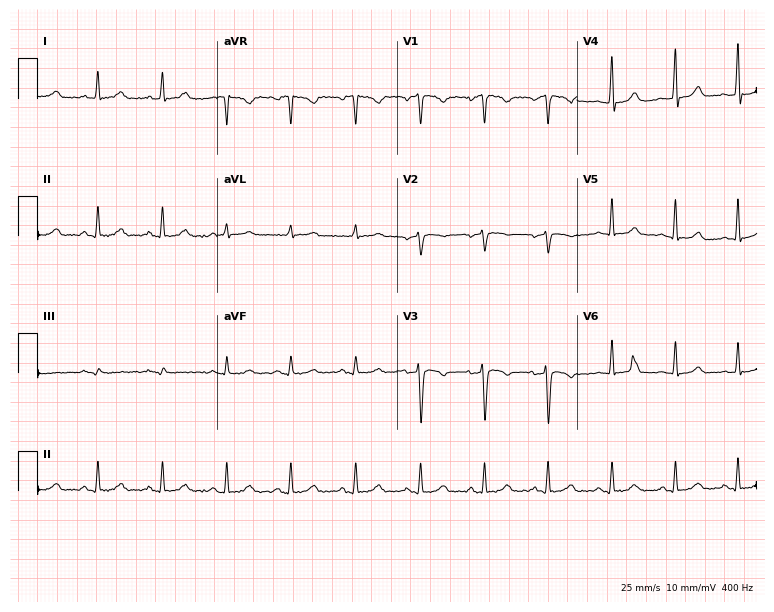
Electrocardiogram (7.3-second recording at 400 Hz), a 45-year-old woman. Of the six screened findings (first-degree AV block, right bundle branch block, left bundle branch block, sinus bradycardia, atrial fibrillation, sinus tachycardia), none is recorded. Findings outside these six are not listed.